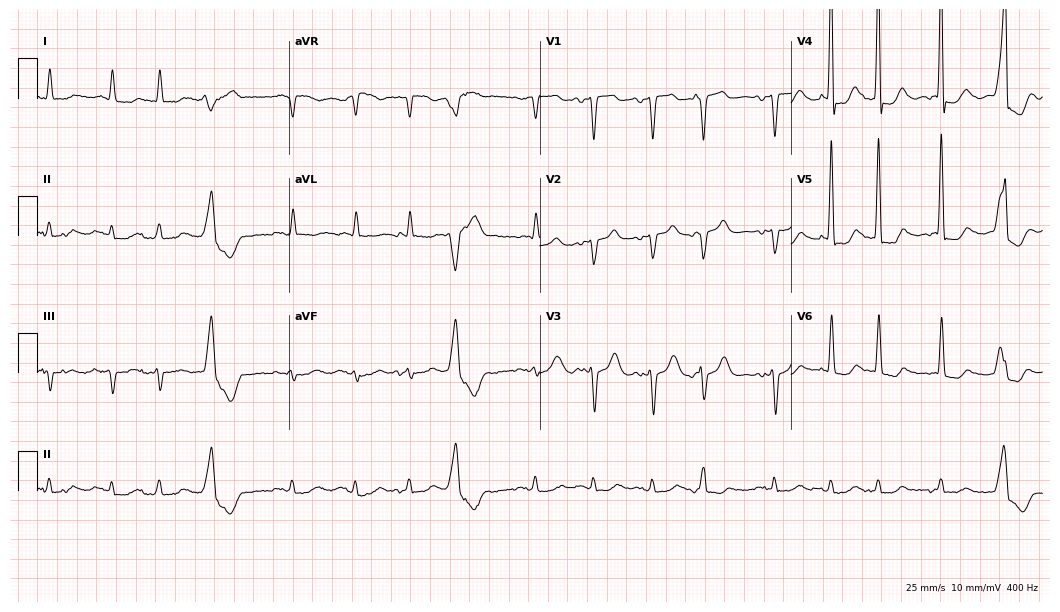
Standard 12-lead ECG recorded from a 78-year-old male patient (10.2-second recording at 400 Hz). None of these six findings is recorded: first-degree AV block, right bundle branch block, left bundle branch block, sinus bradycardia, atrial fibrillation, sinus tachycardia. Findings outside these six are not listed.